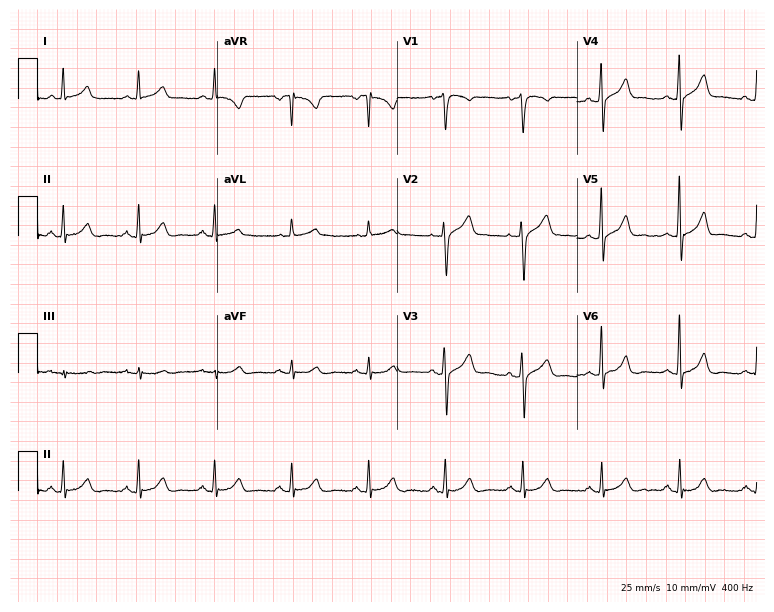
Standard 12-lead ECG recorded from a male, 65 years old. Read as a normal ECG.